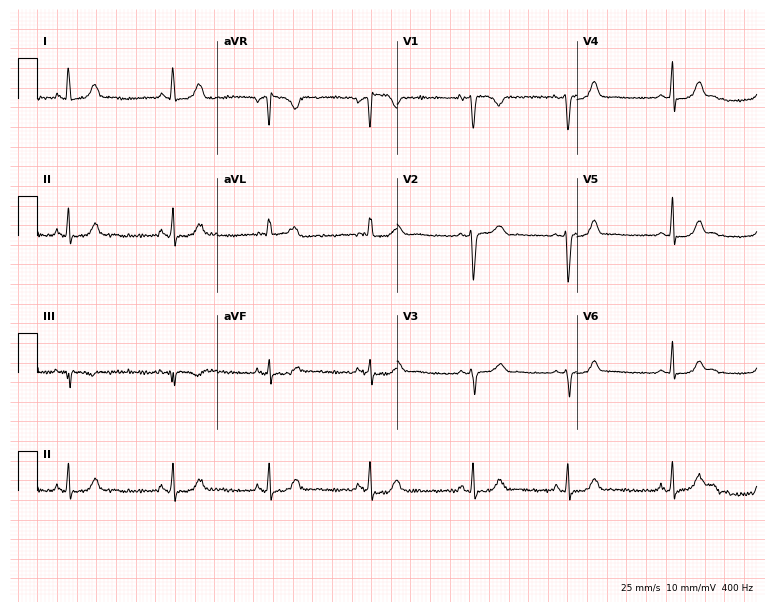
ECG — a woman, 30 years old. Screened for six findings — first-degree AV block, right bundle branch block, left bundle branch block, sinus bradycardia, atrial fibrillation, sinus tachycardia — none is recorded.